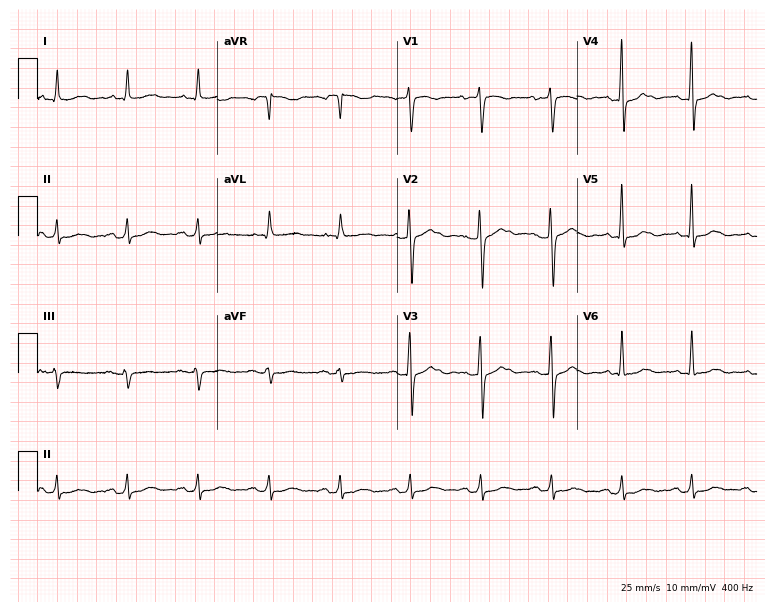
ECG (7.3-second recording at 400 Hz) — a woman, 74 years old. Screened for six findings — first-degree AV block, right bundle branch block, left bundle branch block, sinus bradycardia, atrial fibrillation, sinus tachycardia — none is recorded. Other findings, if any, are not listed.